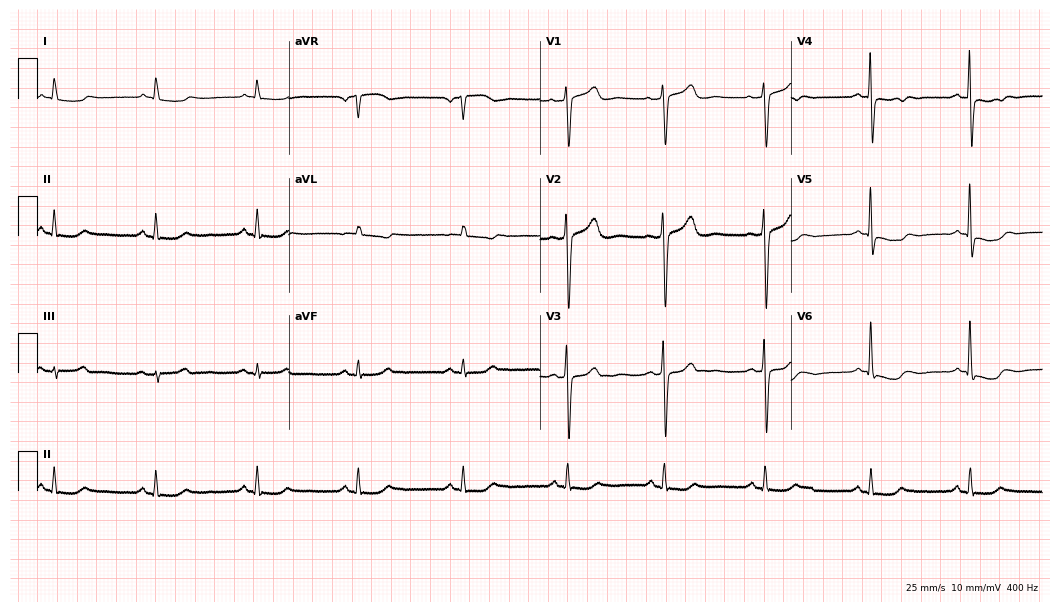
Standard 12-lead ECG recorded from a male, 75 years old (10.2-second recording at 400 Hz). None of these six findings is recorded: first-degree AV block, right bundle branch block, left bundle branch block, sinus bradycardia, atrial fibrillation, sinus tachycardia.